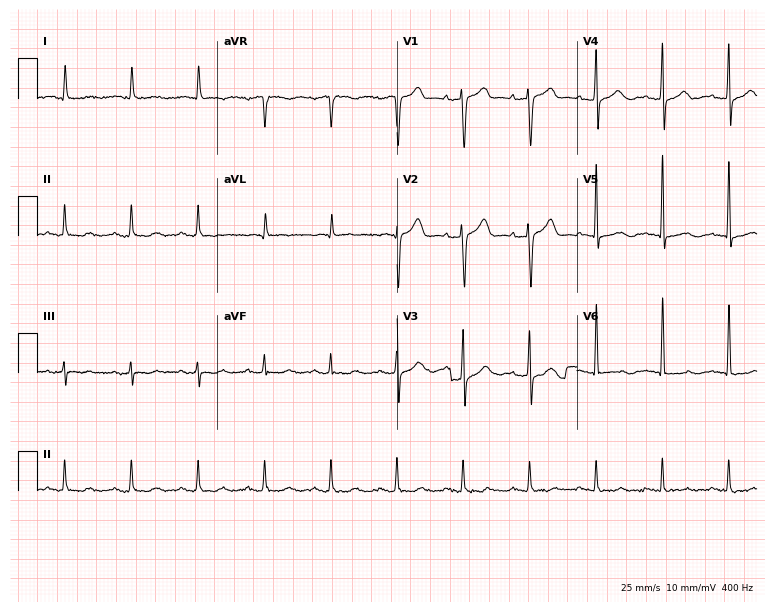
Electrocardiogram, a woman, 78 years old. Overall reading on record: normal ECG.